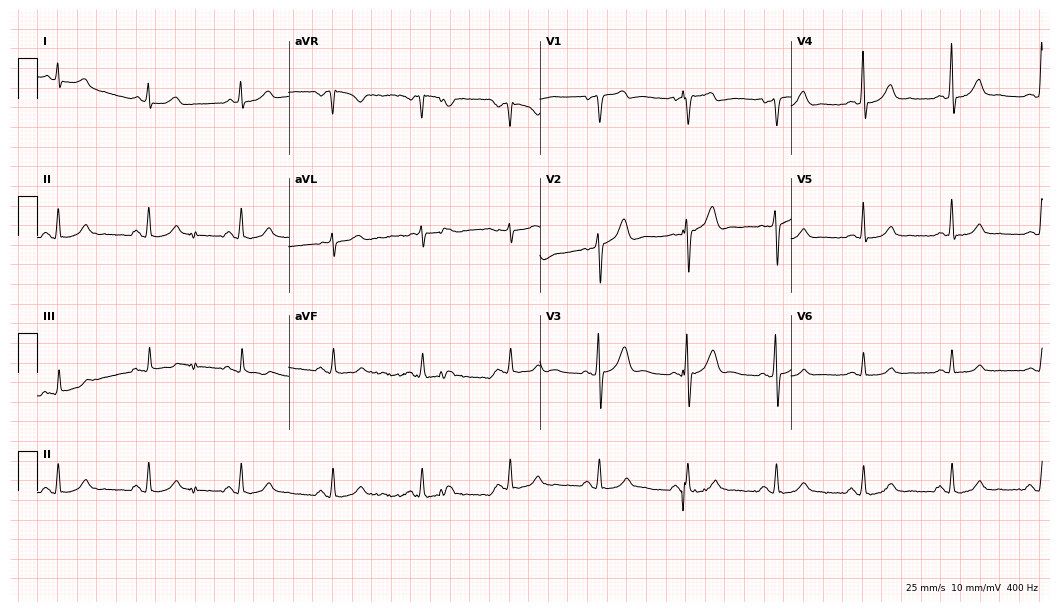
ECG (10.2-second recording at 400 Hz) — a 45-year-old male. Labelled as a normal ECG.